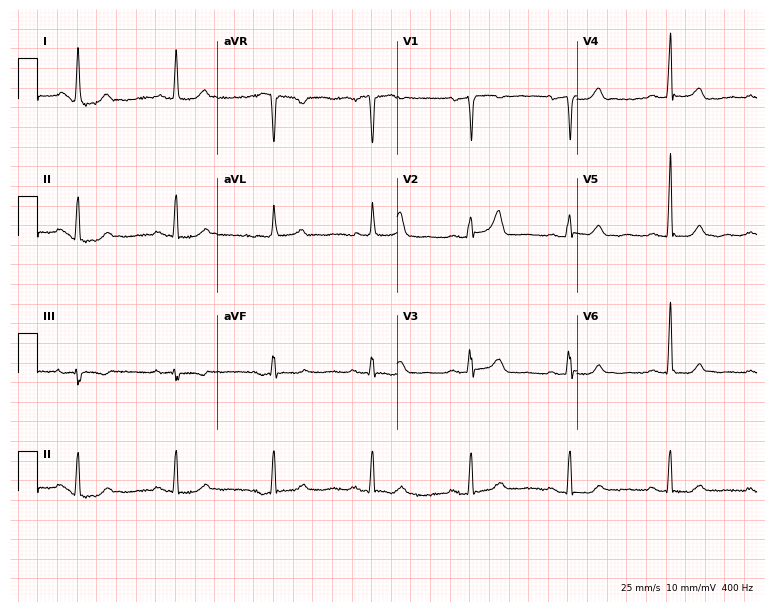
12-lead ECG from a 67-year-old woman (7.3-second recording at 400 Hz). Recorded interpretation: within normal limits.